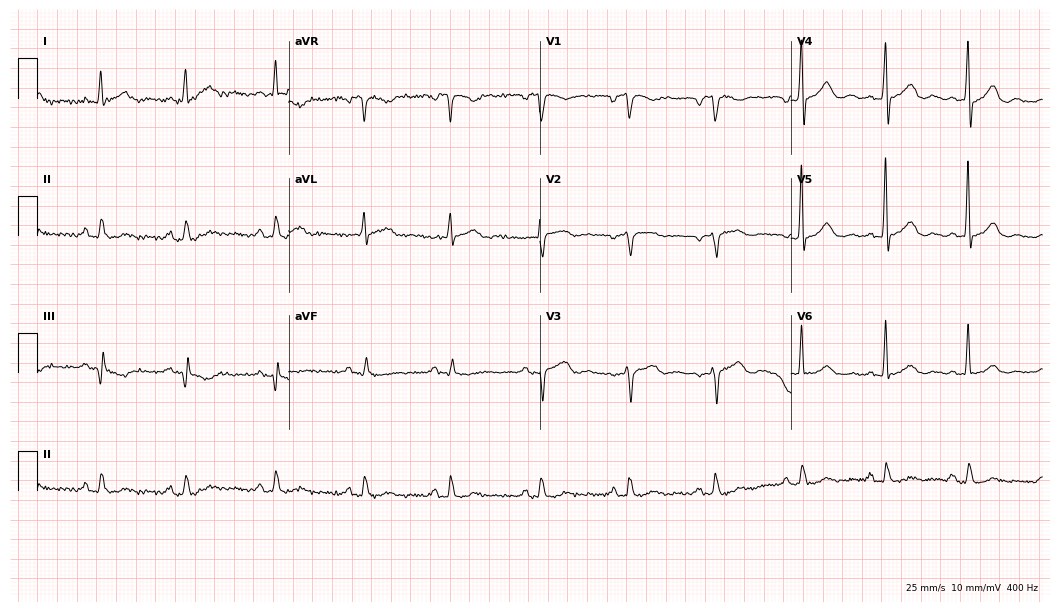
ECG — a 62-year-old man. Screened for six findings — first-degree AV block, right bundle branch block, left bundle branch block, sinus bradycardia, atrial fibrillation, sinus tachycardia — none is recorded. Findings outside these six are not listed.